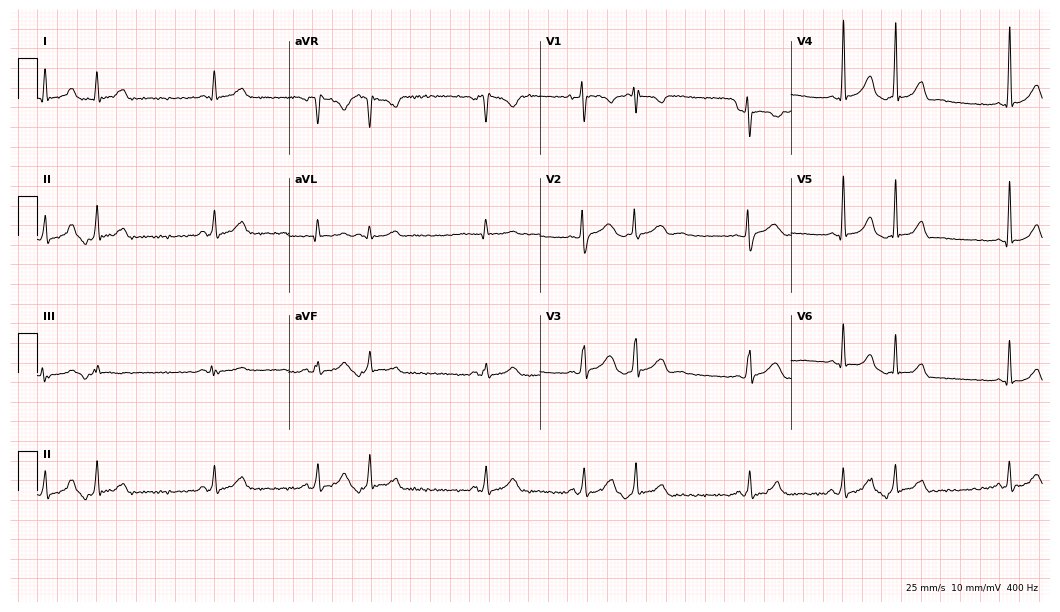
Electrocardiogram, a 32-year-old female patient. Of the six screened findings (first-degree AV block, right bundle branch block, left bundle branch block, sinus bradycardia, atrial fibrillation, sinus tachycardia), none is recorded.